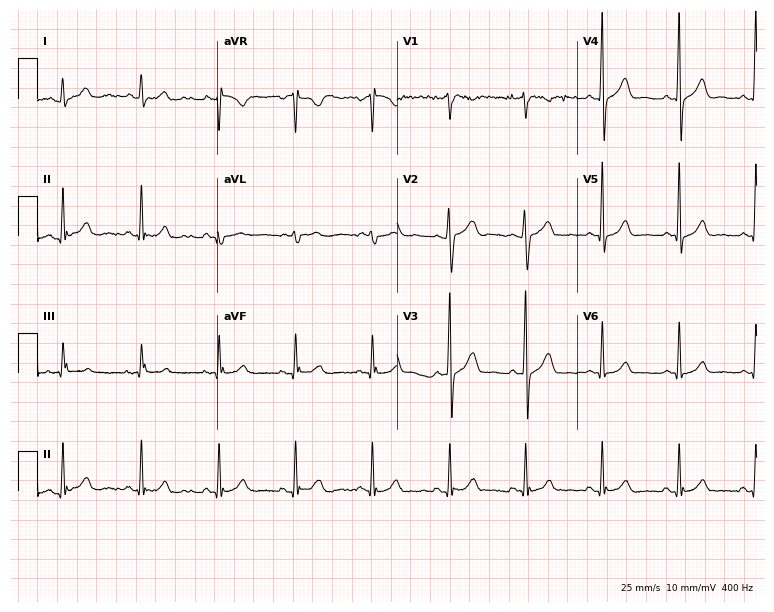
Standard 12-lead ECG recorded from a 38-year-old man. Read as a normal ECG.